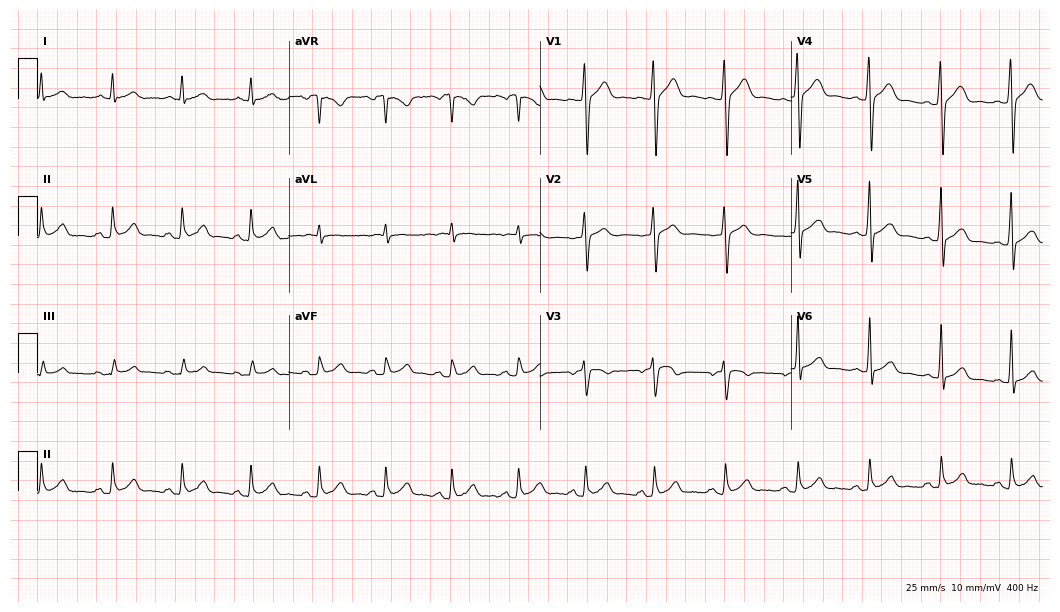
Resting 12-lead electrocardiogram (10.2-second recording at 400 Hz). Patient: a man, 40 years old. None of these six findings is recorded: first-degree AV block, right bundle branch block (RBBB), left bundle branch block (LBBB), sinus bradycardia, atrial fibrillation (AF), sinus tachycardia. Only these six findings were labelled.